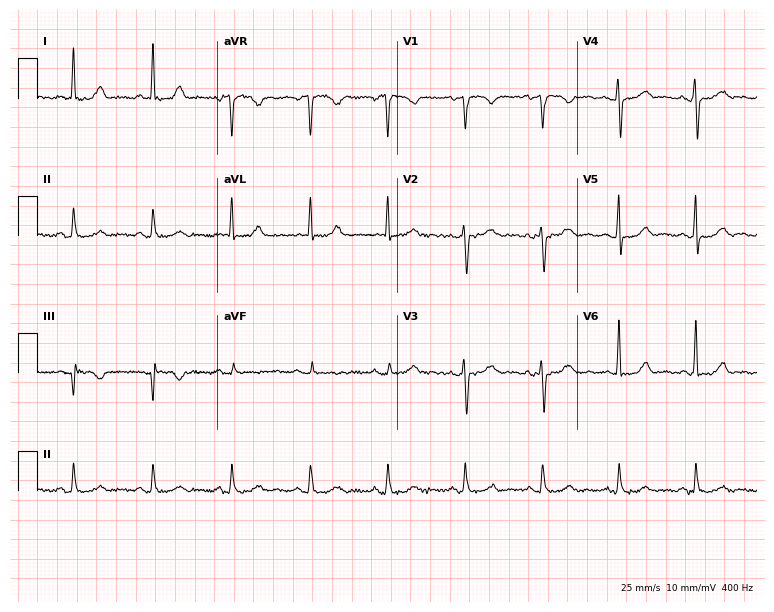
Standard 12-lead ECG recorded from a 55-year-old female (7.3-second recording at 400 Hz). None of these six findings is recorded: first-degree AV block, right bundle branch block, left bundle branch block, sinus bradycardia, atrial fibrillation, sinus tachycardia. Findings outside these six are not listed.